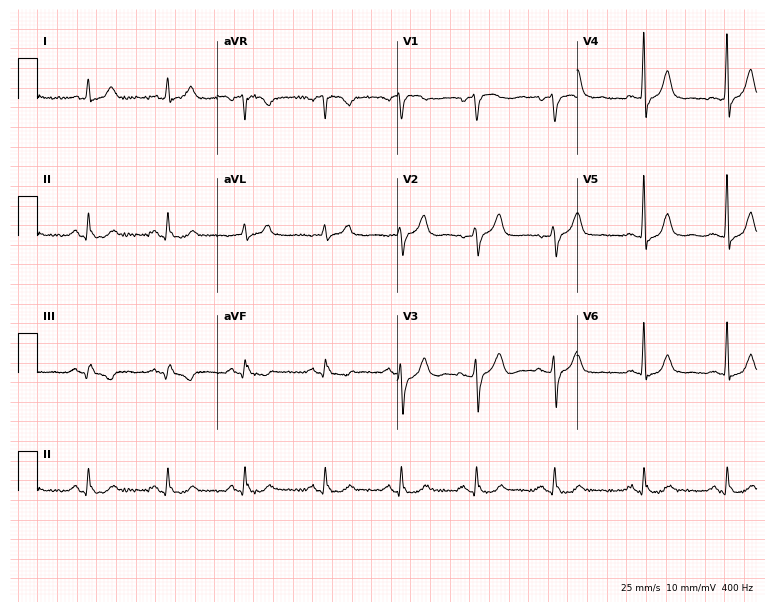
ECG (7.3-second recording at 400 Hz) — a male patient, 62 years old. Screened for six findings — first-degree AV block, right bundle branch block, left bundle branch block, sinus bradycardia, atrial fibrillation, sinus tachycardia — none is recorded. Findings outside these six are not listed.